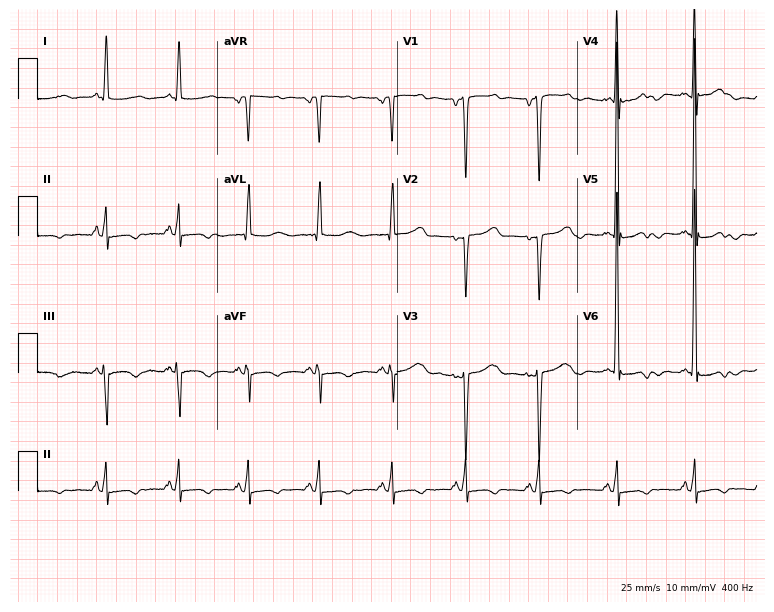
12-lead ECG from a male patient, 56 years old (7.3-second recording at 400 Hz). No first-degree AV block, right bundle branch block (RBBB), left bundle branch block (LBBB), sinus bradycardia, atrial fibrillation (AF) or sinus tachycardia recorded for this tracing. Findings outside these six are not listed.